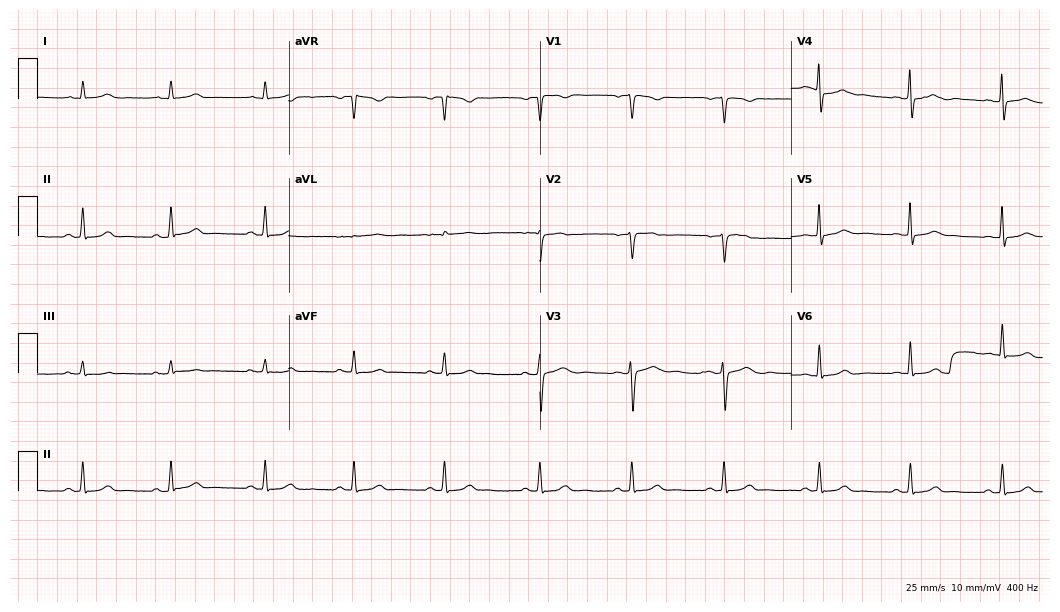
12-lead ECG from a 33-year-old female patient. Screened for six findings — first-degree AV block, right bundle branch block, left bundle branch block, sinus bradycardia, atrial fibrillation, sinus tachycardia — none is recorded. Other findings, if any, are not listed.